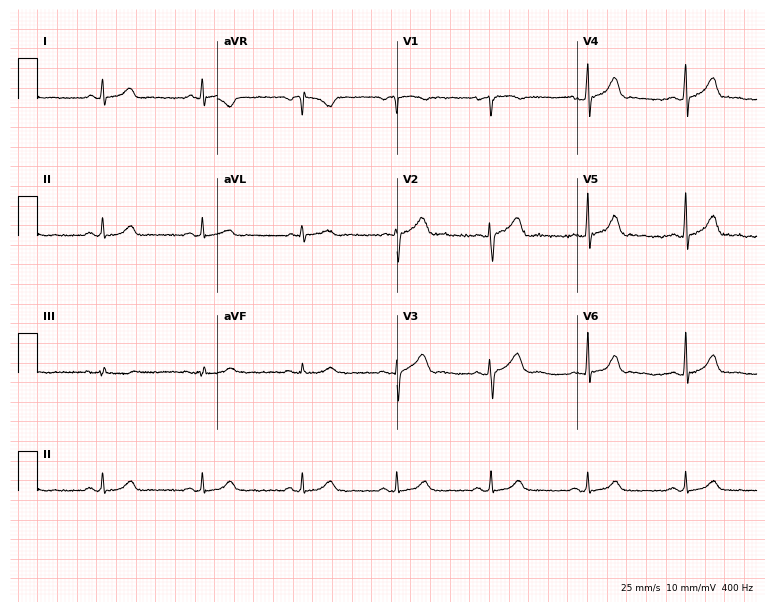
Electrocardiogram (7.3-second recording at 400 Hz), a 42-year-old woman. Overall reading on record: normal ECG.